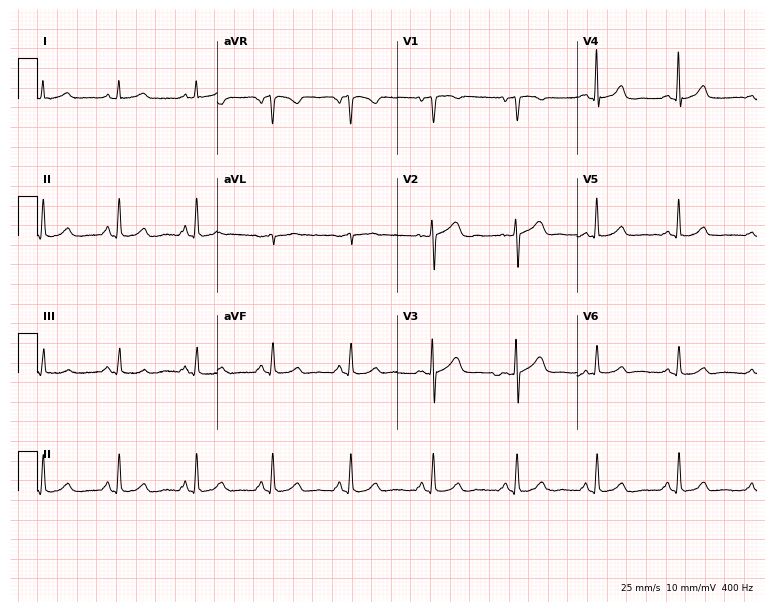
Resting 12-lead electrocardiogram (7.3-second recording at 400 Hz). Patient: a female, 49 years old. Read as a normal ECG.